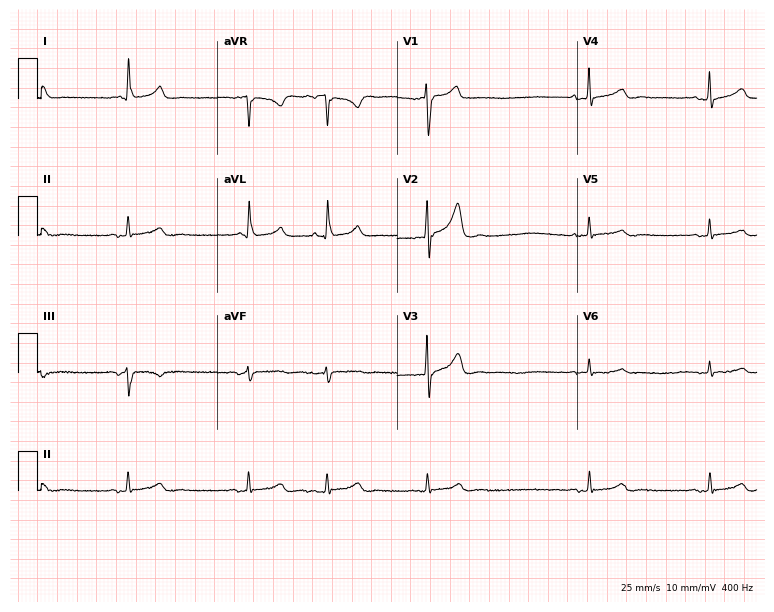
Electrocardiogram (7.3-second recording at 400 Hz), a man, 81 years old. Of the six screened findings (first-degree AV block, right bundle branch block (RBBB), left bundle branch block (LBBB), sinus bradycardia, atrial fibrillation (AF), sinus tachycardia), none is recorded. Findings outside these six are not listed.